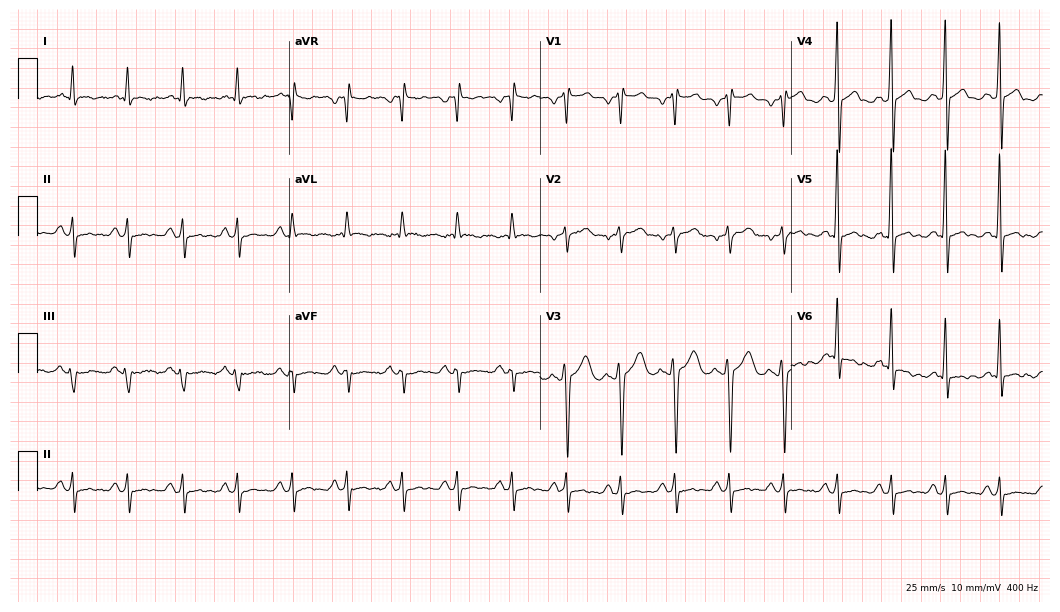
12-lead ECG (10.2-second recording at 400 Hz) from a 61-year-old male patient. Screened for six findings — first-degree AV block, right bundle branch block, left bundle branch block, sinus bradycardia, atrial fibrillation, sinus tachycardia — none is recorded. Only these six findings were labelled.